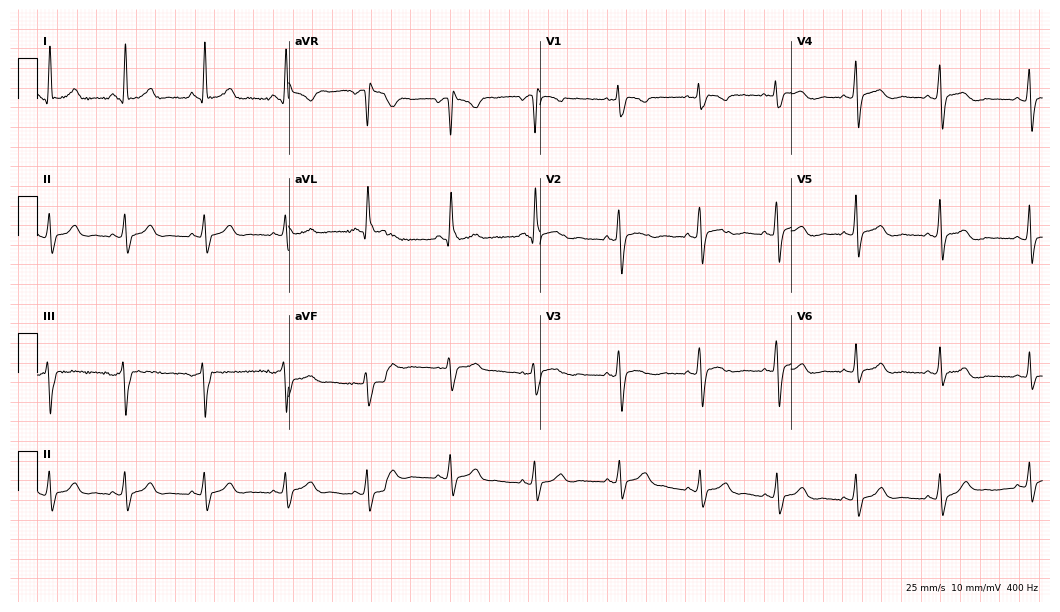
Electrocardiogram (10.2-second recording at 400 Hz), a 31-year-old female patient. Of the six screened findings (first-degree AV block, right bundle branch block, left bundle branch block, sinus bradycardia, atrial fibrillation, sinus tachycardia), none is recorded.